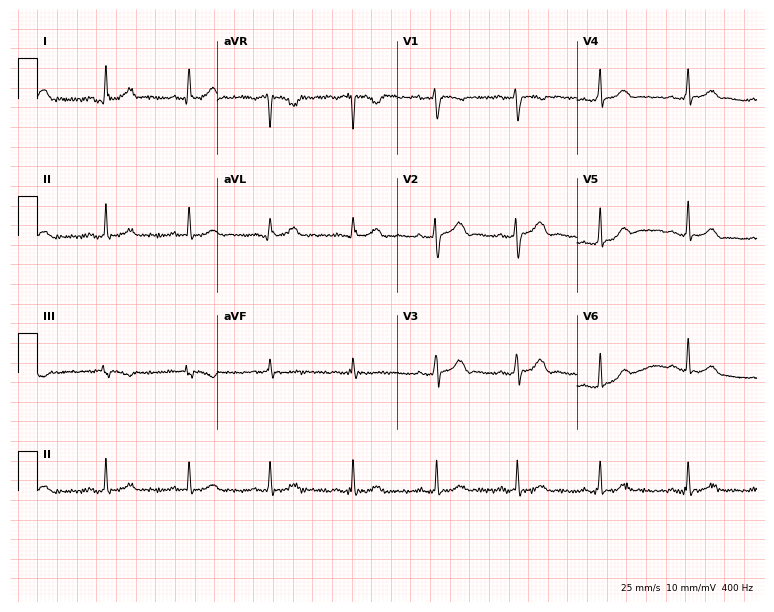
ECG (7.3-second recording at 400 Hz) — a 27-year-old female patient. Labelled as a normal ECG.